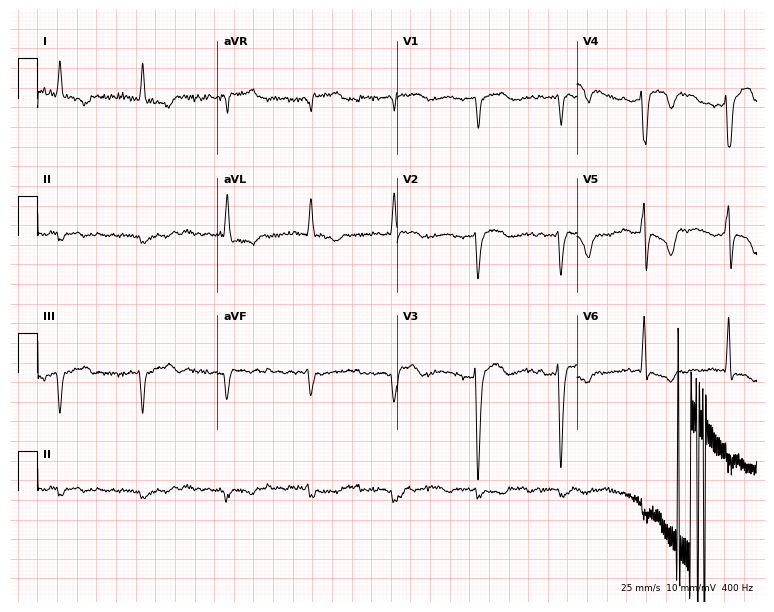
ECG (7.3-second recording at 400 Hz) — an 81-year-old male. Screened for six findings — first-degree AV block, right bundle branch block (RBBB), left bundle branch block (LBBB), sinus bradycardia, atrial fibrillation (AF), sinus tachycardia — none is recorded.